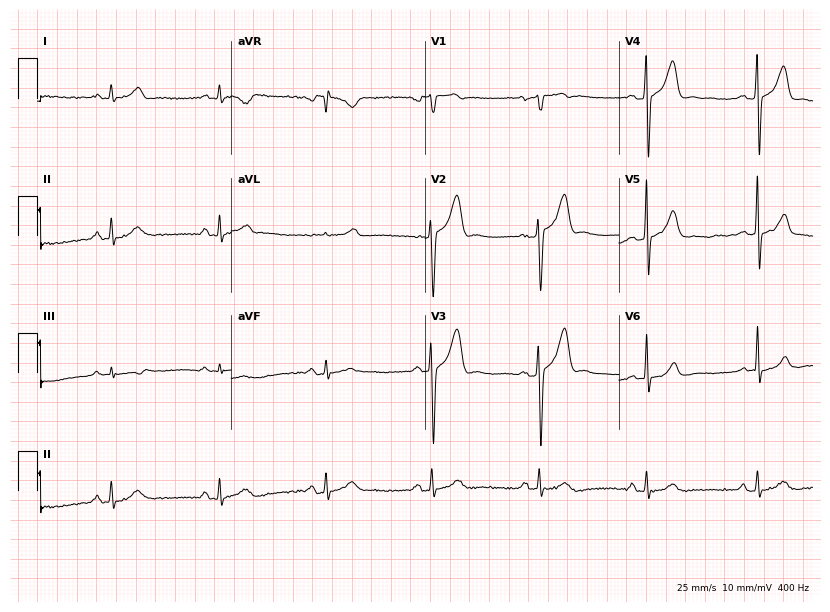
Resting 12-lead electrocardiogram. Patient: a 41-year-old male. Read as a normal ECG.